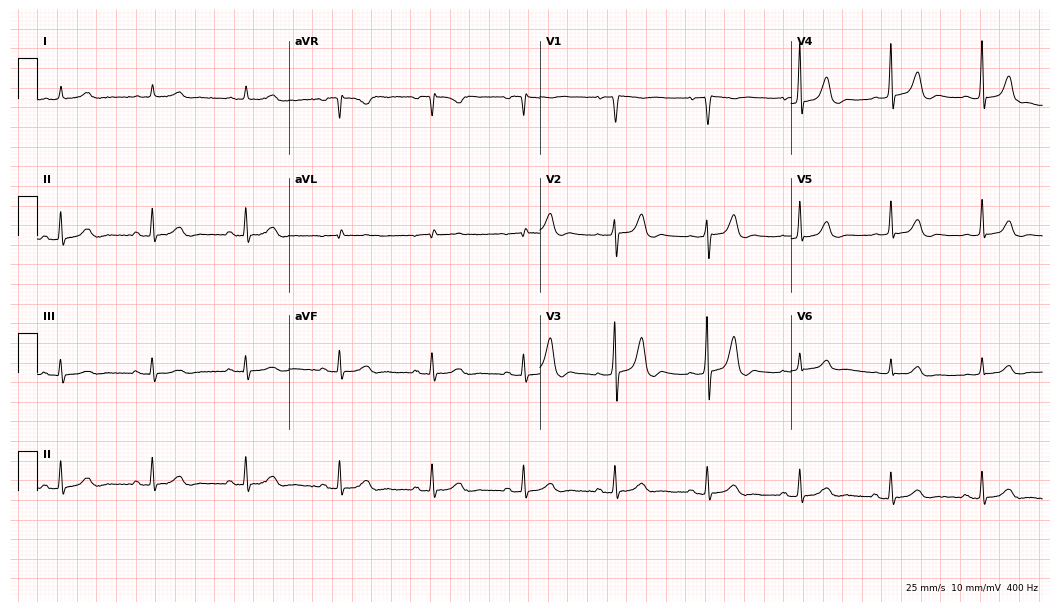
ECG (10.2-second recording at 400 Hz) — an 82-year-old male patient. Screened for six findings — first-degree AV block, right bundle branch block (RBBB), left bundle branch block (LBBB), sinus bradycardia, atrial fibrillation (AF), sinus tachycardia — none is recorded.